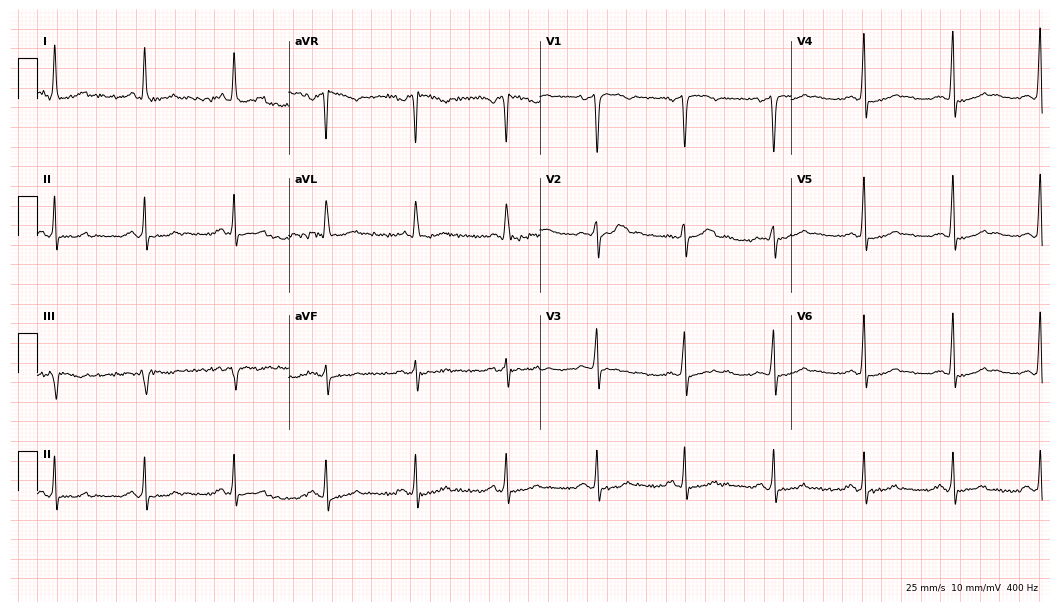
Standard 12-lead ECG recorded from a 46-year-old female patient. Read as a normal ECG.